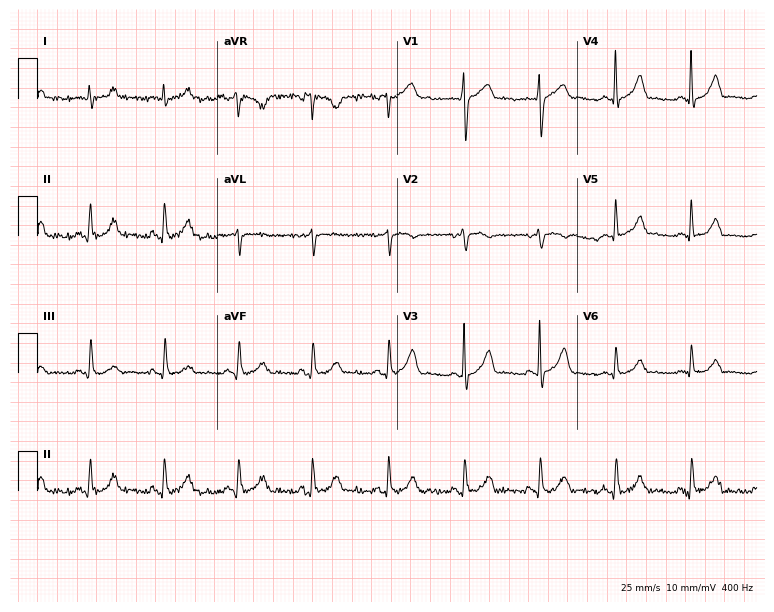
Standard 12-lead ECG recorded from a male, 66 years old (7.3-second recording at 400 Hz). Read as a normal ECG.